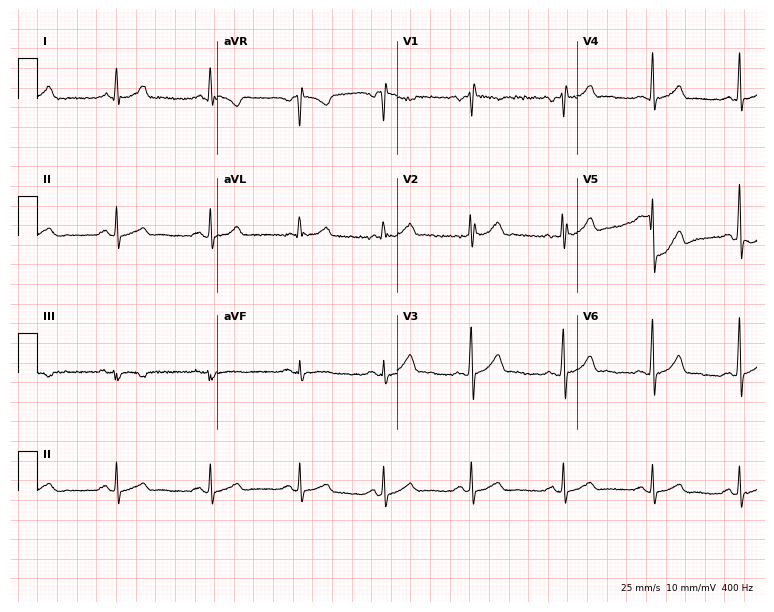
12-lead ECG from a 20-year-old male patient (7.3-second recording at 400 Hz). No first-degree AV block, right bundle branch block, left bundle branch block, sinus bradycardia, atrial fibrillation or sinus tachycardia recorded for this tracing. Other findings, if any, are not listed.